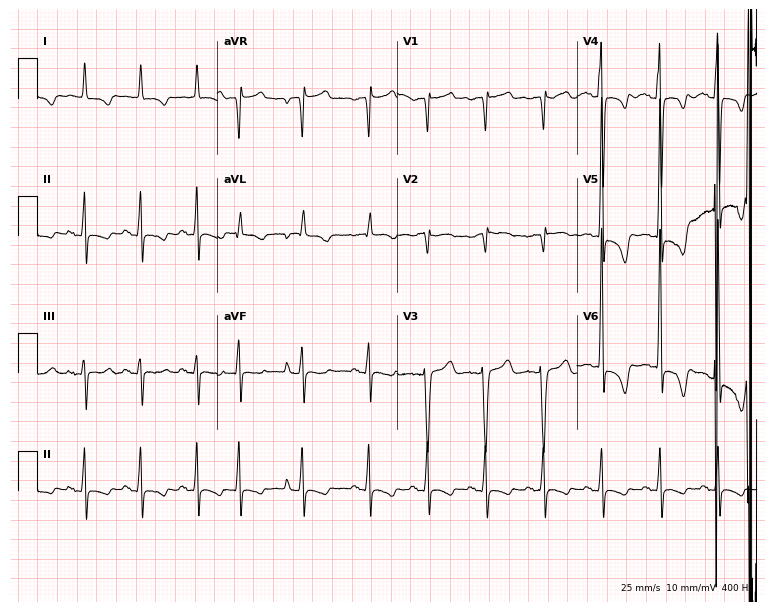
ECG — an 81-year-old male. Findings include sinus tachycardia (a sinus rate of 100 beats per minute or more).